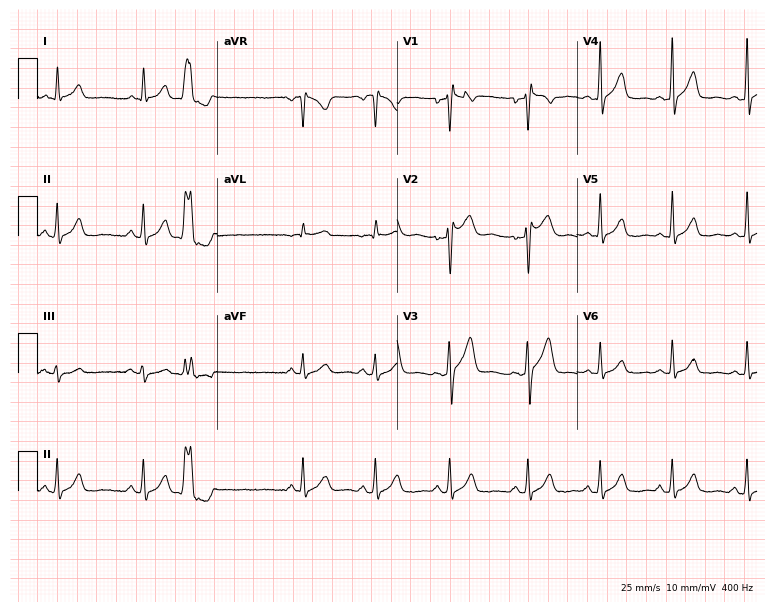
ECG — a 40-year-old male patient. Screened for six findings — first-degree AV block, right bundle branch block (RBBB), left bundle branch block (LBBB), sinus bradycardia, atrial fibrillation (AF), sinus tachycardia — none is recorded. Only these six findings were labelled.